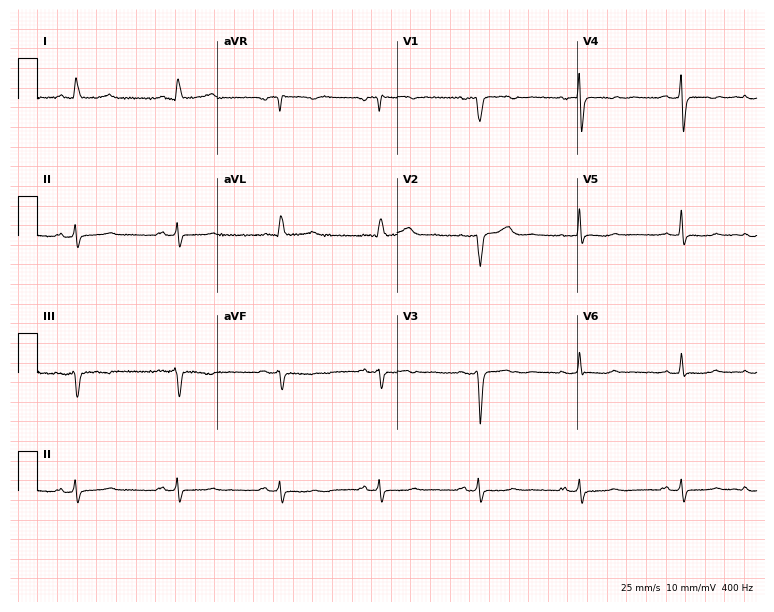
Electrocardiogram (7.3-second recording at 400 Hz), a woman, 69 years old. Of the six screened findings (first-degree AV block, right bundle branch block (RBBB), left bundle branch block (LBBB), sinus bradycardia, atrial fibrillation (AF), sinus tachycardia), none is recorded. Only these six findings were labelled.